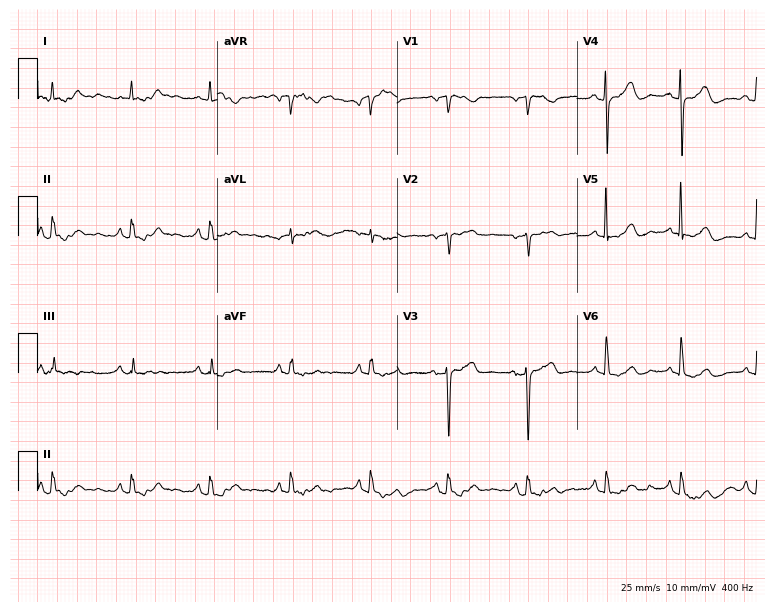
Standard 12-lead ECG recorded from an 81-year-old woman (7.3-second recording at 400 Hz). None of these six findings is recorded: first-degree AV block, right bundle branch block, left bundle branch block, sinus bradycardia, atrial fibrillation, sinus tachycardia.